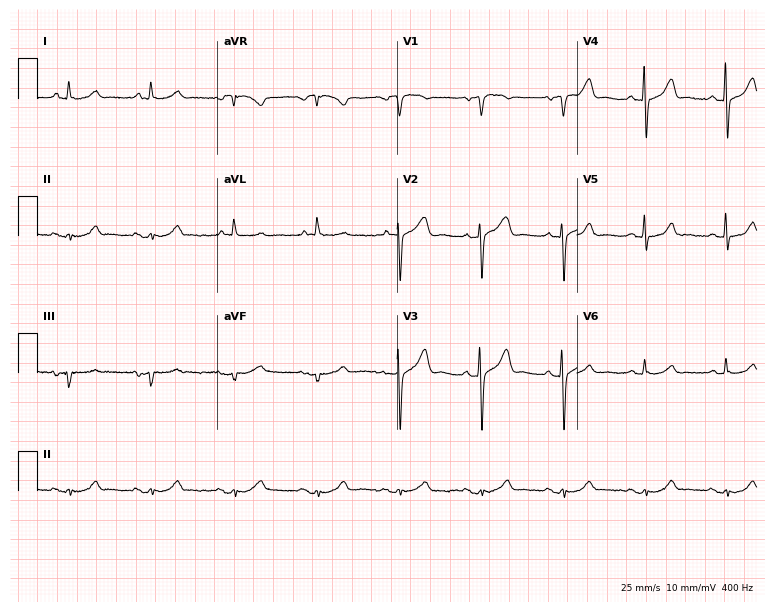
12-lead ECG from a man, 77 years old (7.3-second recording at 400 Hz). Recorded interpretation: within normal limits.